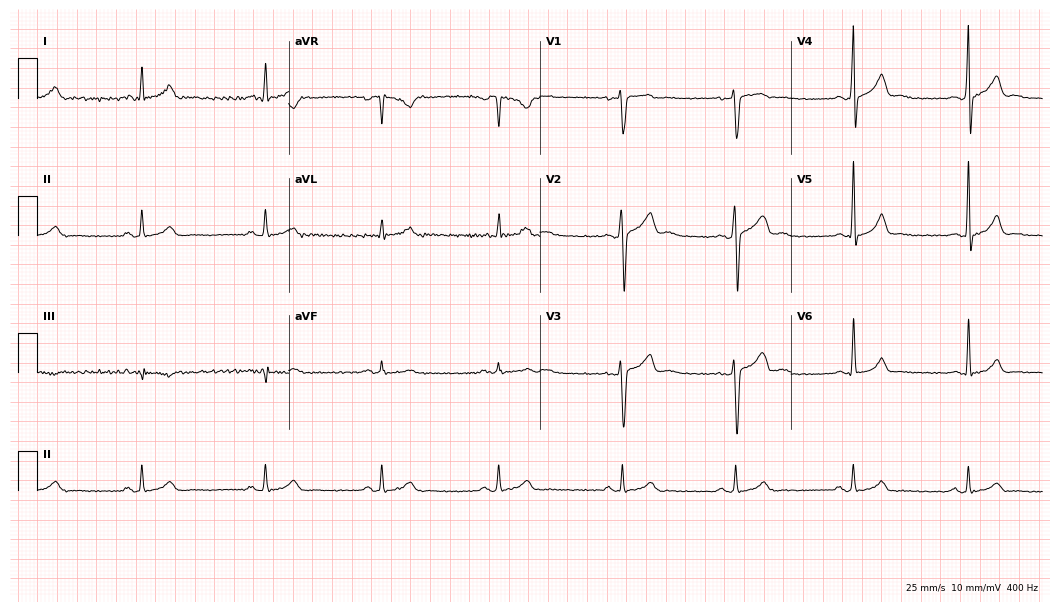
Standard 12-lead ECG recorded from a male patient, 33 years old (10.2-second recording at 400 Hz). Read as a normal ECG.